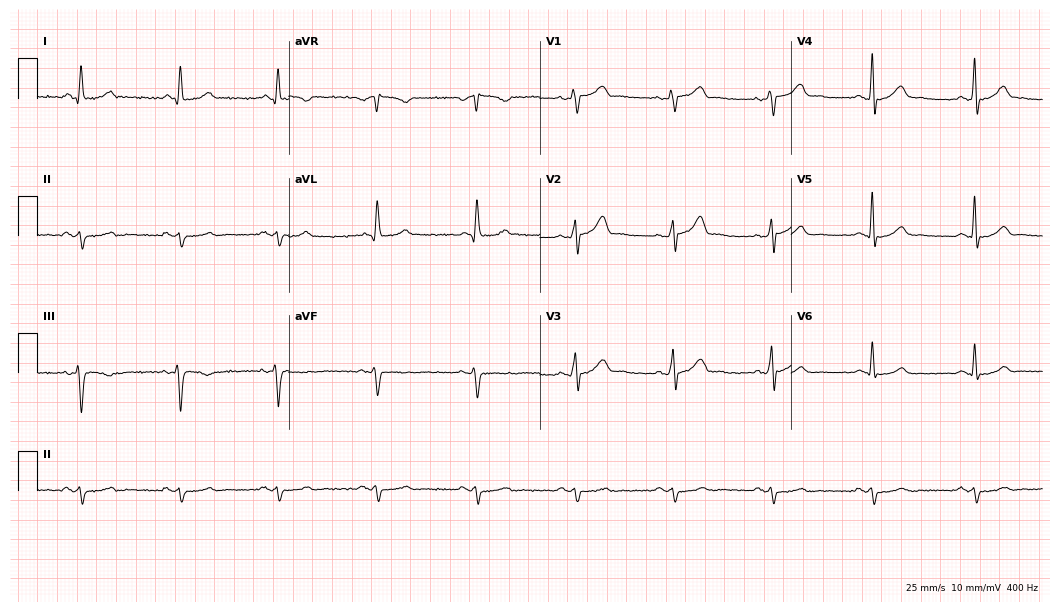
12-lead ECG from a 58-year-old woman (10.2-second recording at 400 Hz). No first-degree AV block, right bundle branch block, left bundle branch block, sinus bradycardia, atrial fibrillation or sinus tachycardia recorded for this tracing. Findings outside these six are not listed.